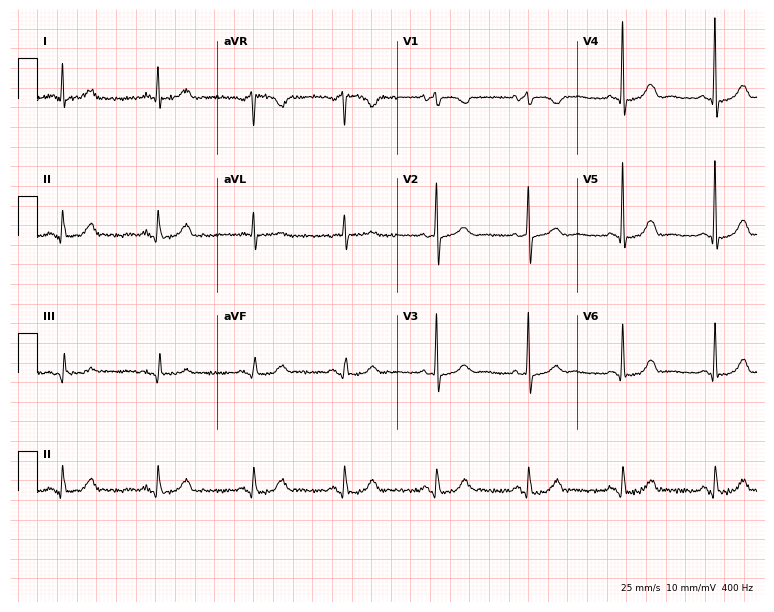
12-lead ECG from a 73-year-old female. Labelled as a normal ECG.